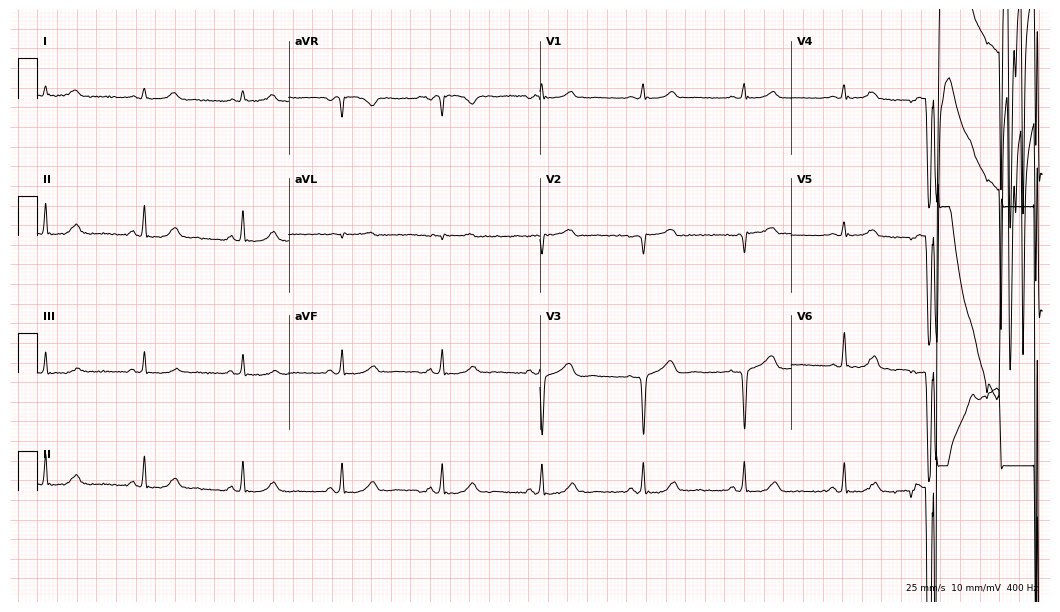
ECG (10.2-second recording at 400 Hz) — a 65-year-old female. Labelled as a normal ECG.